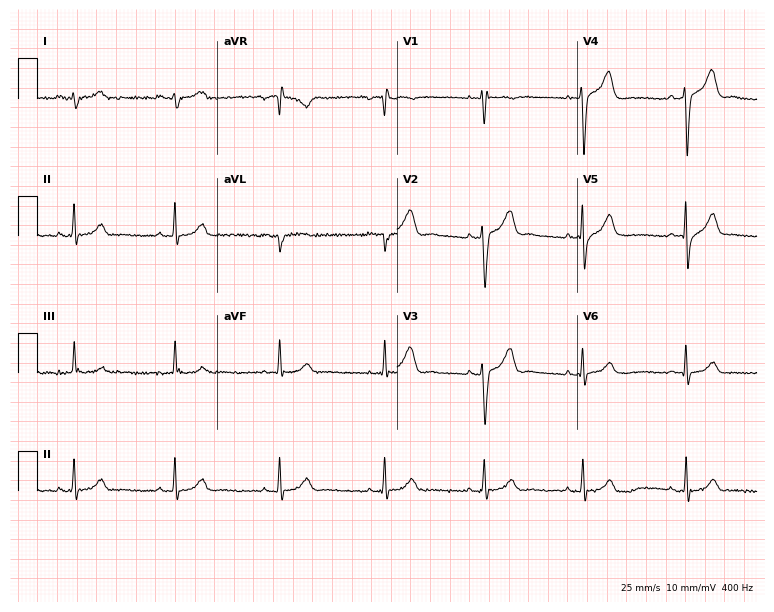
12-lead ECG (7.3-second recording at 400 Hz) from a 28-year-old male patient. Screened for six findings — first-degree AV block, right bundle branch block (RBBB), left bundle branch block (LBBB), sinus bradycardia, atrial fibrillation (AF), sinus tachycardia — none is recorded.